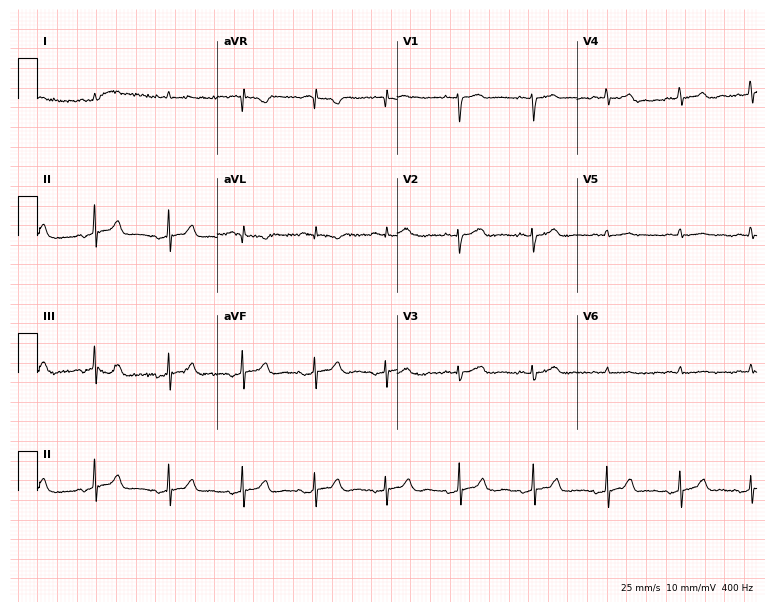
12-lead ECG from a man, 86 years old. Labelled as a normal ECG.